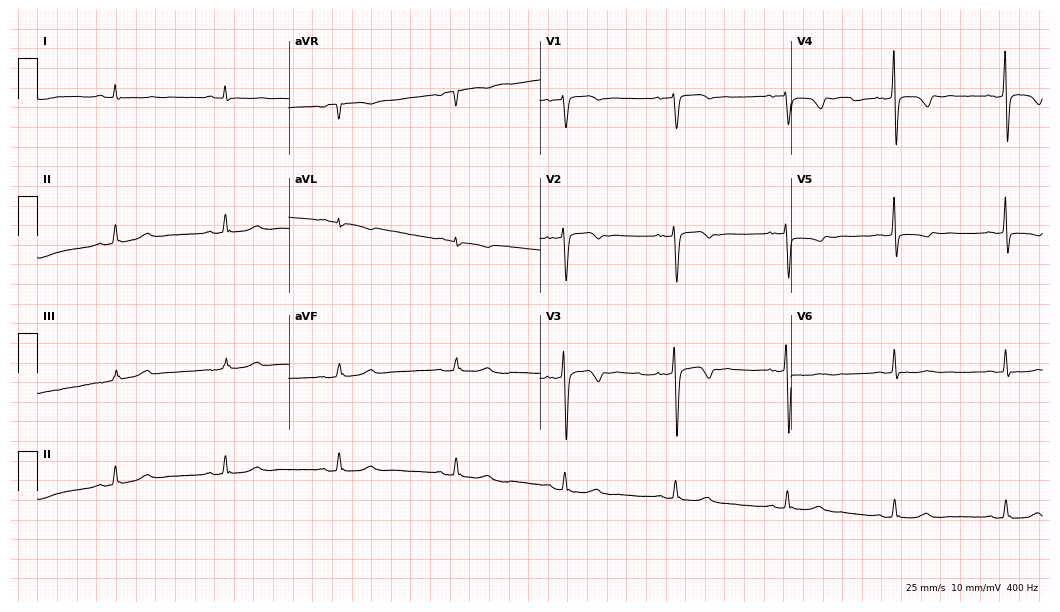
Resting 12-lead electrocardiogram. Patient: a female, 47 years old. None of these six findings is recorded: first-degree AV block, right bundle branch block, left bundle branch block, sinus bradycardia, atrial fibrillation, sinus tachycardia.